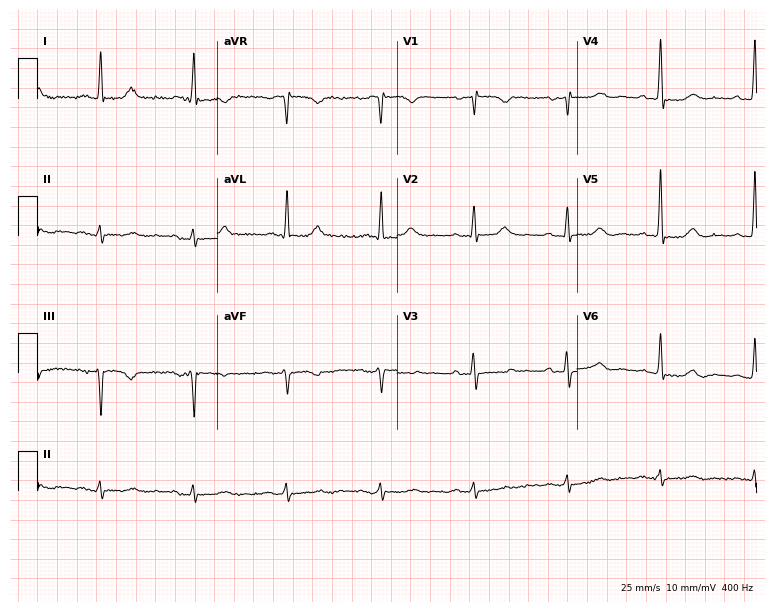
Resting 12-lead electrocardiogram. Patient: a woman, 84 years old. None of these six findings is recorded: first-degree AV block, right bundle branch block (RBBB), left bundle branch block (LBBB), sinus bradycardia, atrial fibrillation (AF), sinus tachycardia. Only these six findings were labelled.